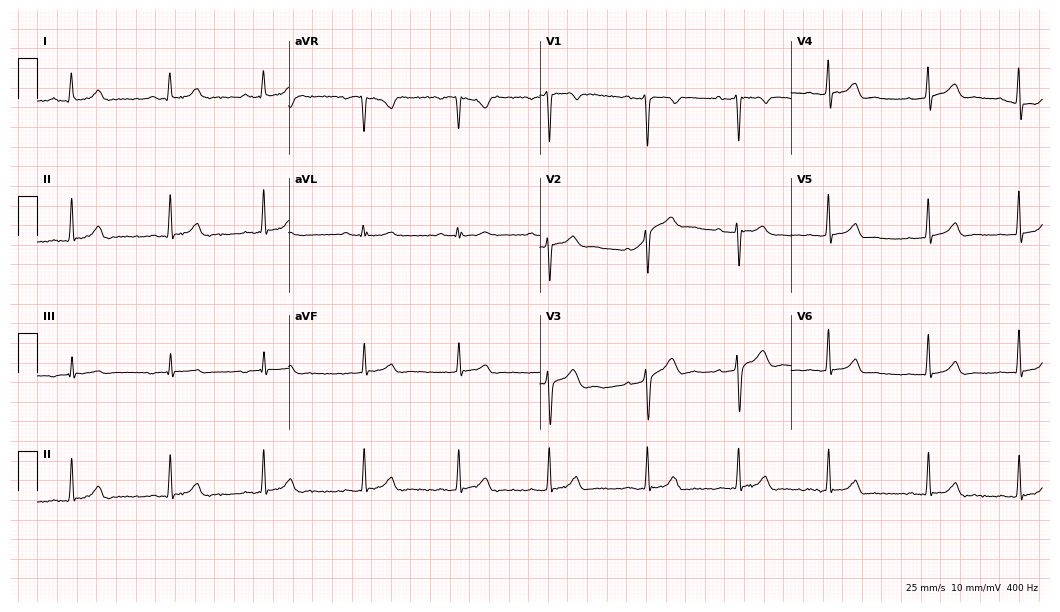
Resting 12-lead electrocardiogram (10.2-second recording at 400 Hz). Patient: a man, 18 years old. Read as a normal ECG.